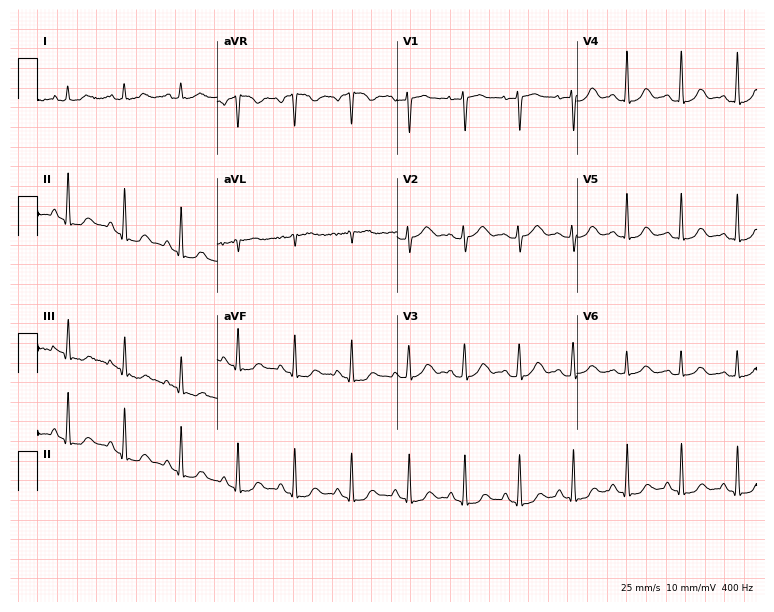
Electrocardiogram, a 41-year-old female. Of the six screened findings (first-degree AV block, right bundle branch block (RBBB), left bundle branch block (LBBB), sinus bradycardia, atrial fibrillation (AF), sinus tachycardia), none is recorded.